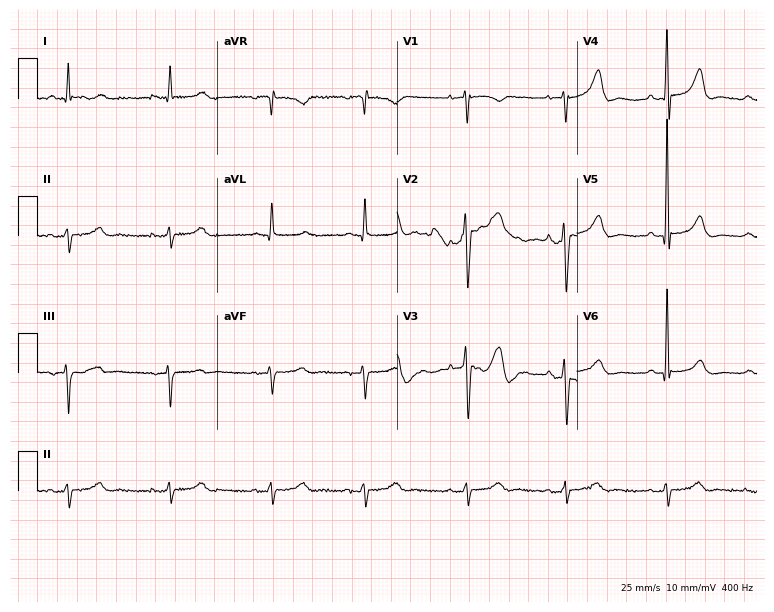
ECG — an 85-year-old male patient. Screened for six findings — first-degree AV block, right bundle branch block (RBBB), left bundle branch block (LBBB), sinus bradycardia, atrial fibrillation (AF), sinus tachycardia — none is recorded. Other findings, if any, are not listed.